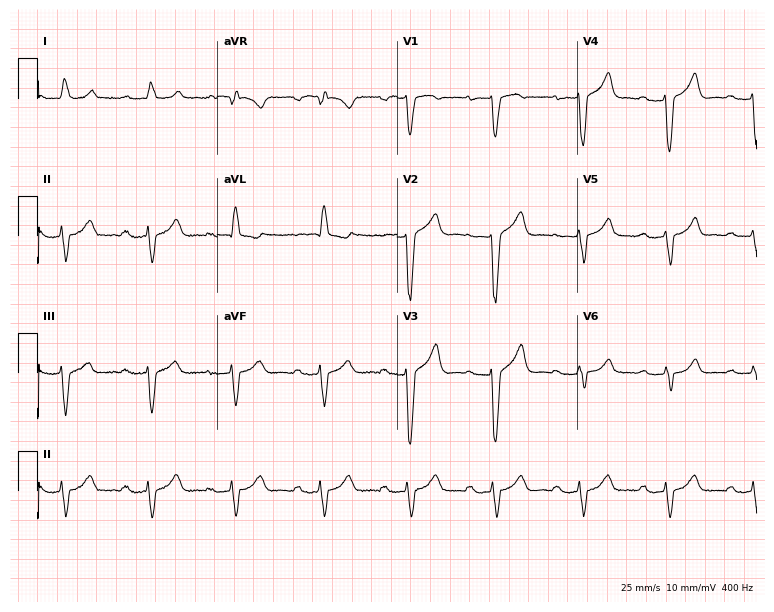
12-lead ECG from an 82-year-old female patient. Shows first-degree AV block.